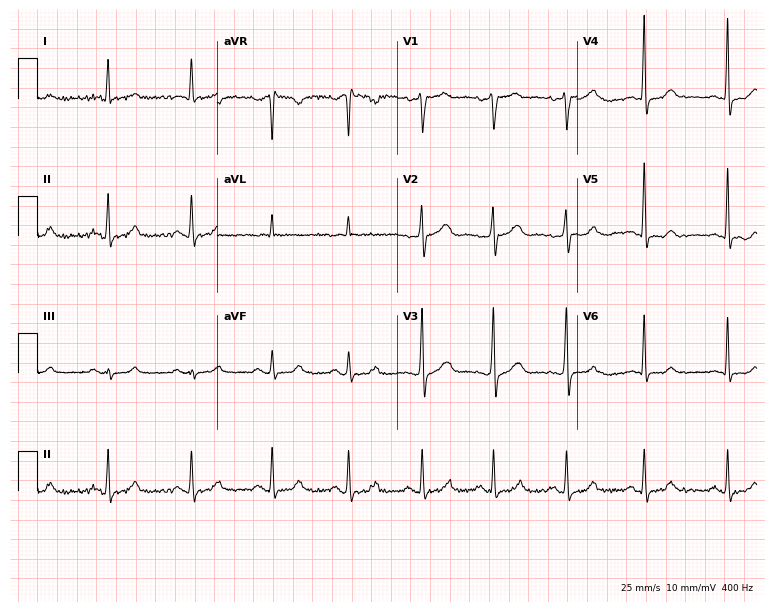
Standard 12-lead ECG recorded from a male, 74 years old. None of these six findings is recorded: first-degree AV block, right bundle branch block (RBBB), left bundle branch block (LBBB), sinus bradycardia, atrial fibrillation (AF), sinus tachycardia.